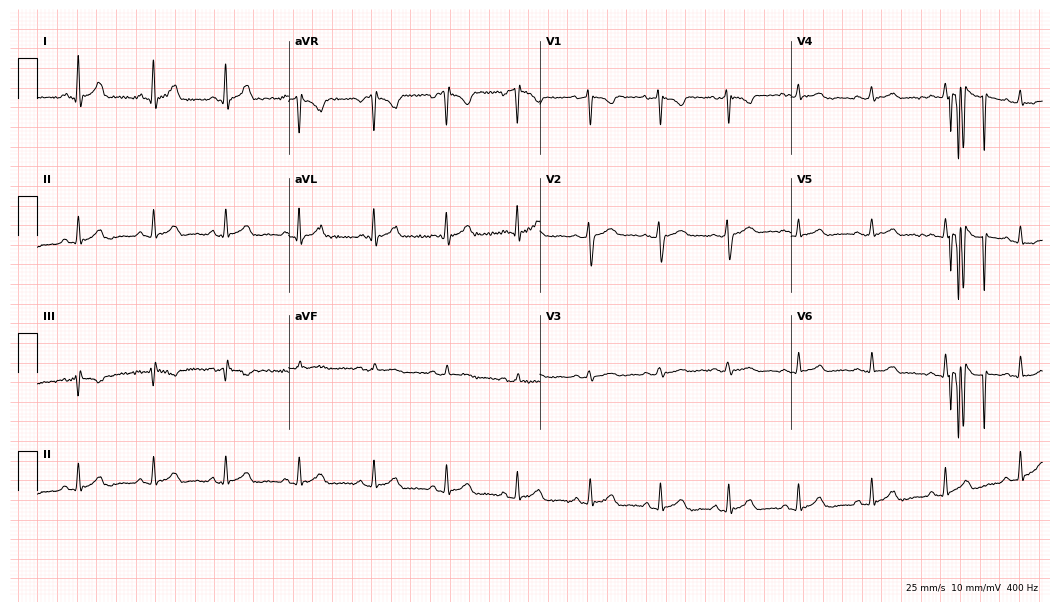
ECG — a 21-year-old woman. Labelled as a normal ECG.